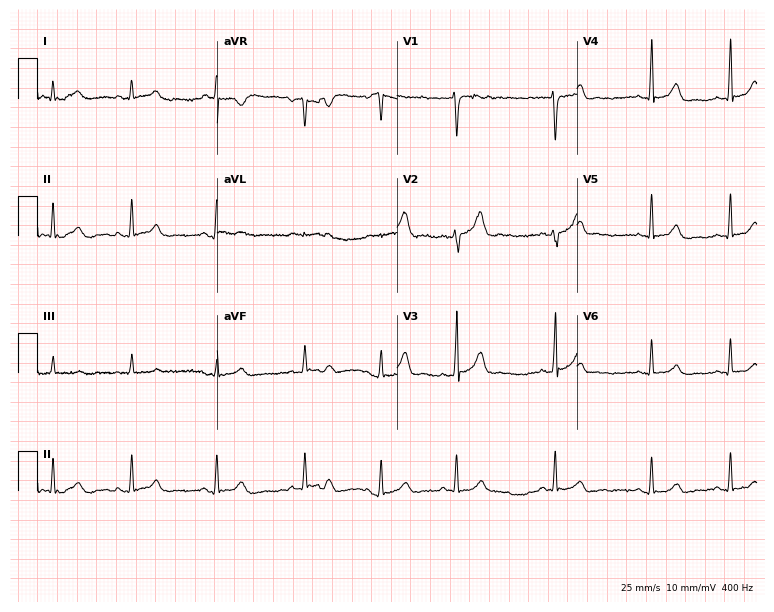
Electrocardiogram (7.3-second recording at 400 Hz), a 20-year-old female. Of the six screened findings (first-degree AV block, right bundle branch block, left bundle branch block, sinus bradycardia, atrial fibrillation, sinus tachycardia), none is recorded.